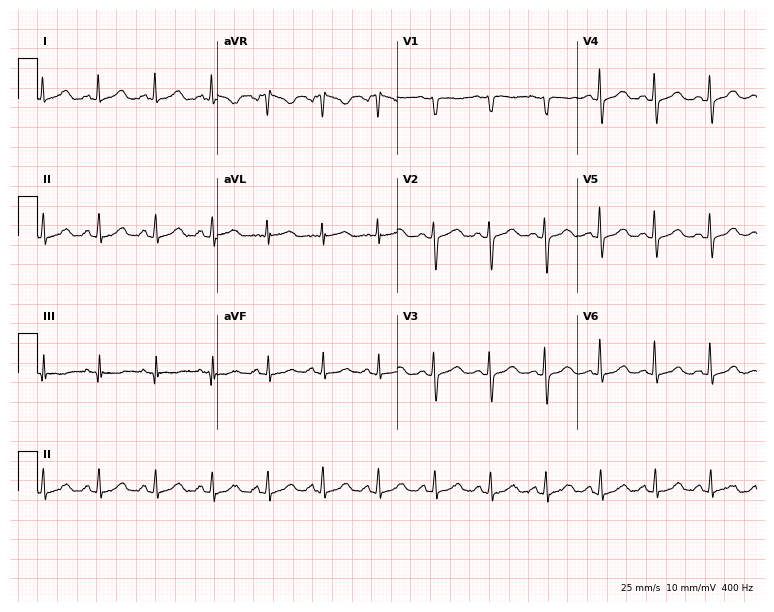
12-lead ECG from a 36-year-old female patient. Screened for six findings — first-degree AV block, right bundle branch block, left bundle branch block, sinus bradycardia, atrial fibrillation, sinus tachycardia — none is recorded. Other findings, if any, are not listed.